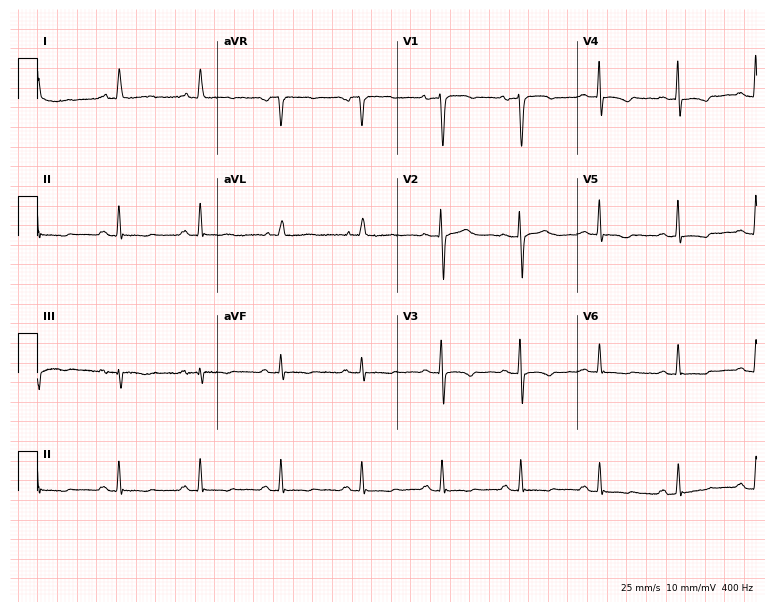
12-lead ECG (7.3-second recording at 400 Hz) from a 57-year-old female. Screened for six findings — first-degree AV block, right bundle branch block, left bundle branch block, sinus bradycardia, atrial fibrillation, sinus tachycardia — none is recorded. Findings outside these six are not listed.